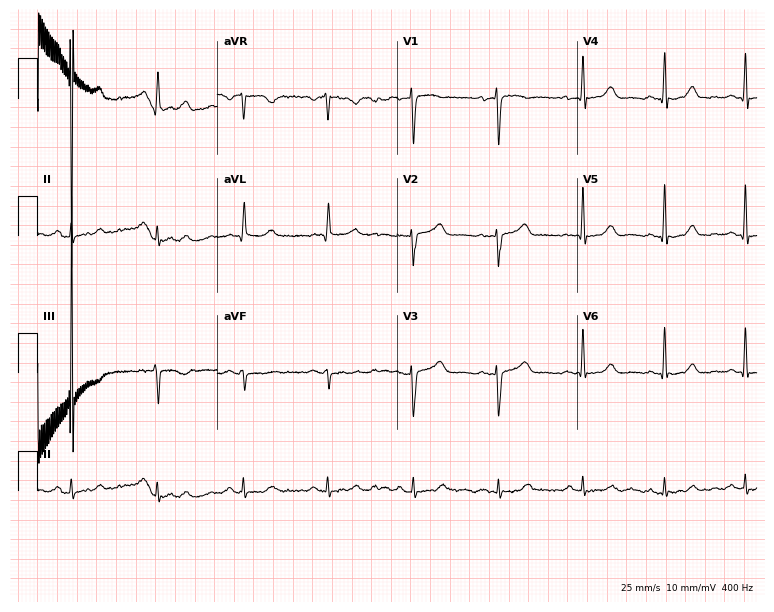
12-lead ECG from a 48-year-old woman (7.3-second recording at 400 Hz). No first-degree AV block, right bundle branch block, left bundle branch block, sinus bradycardia, atrial fibrillation or sinus tachycardia recorded for this tracing.